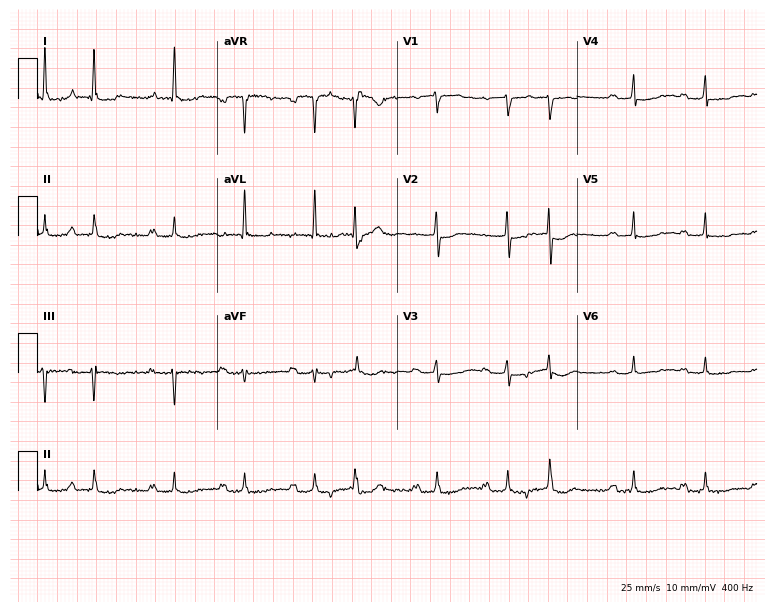
12-lead ECG (7.3-second recording at 400 Hz) from a female, 79 years old. Findings include first-degree AV block.